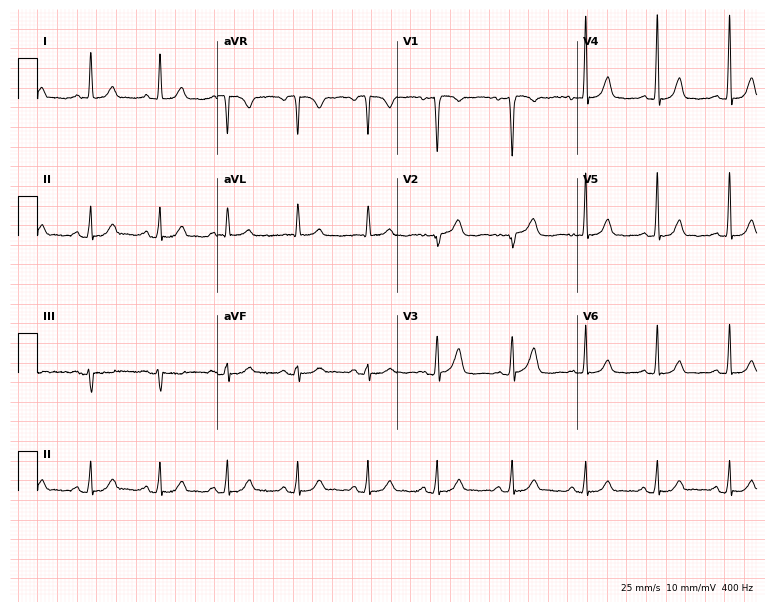
ECG (7.3-second recording at 400 Hz) — a 38-year-old woman. Labelled as a normal ECG.